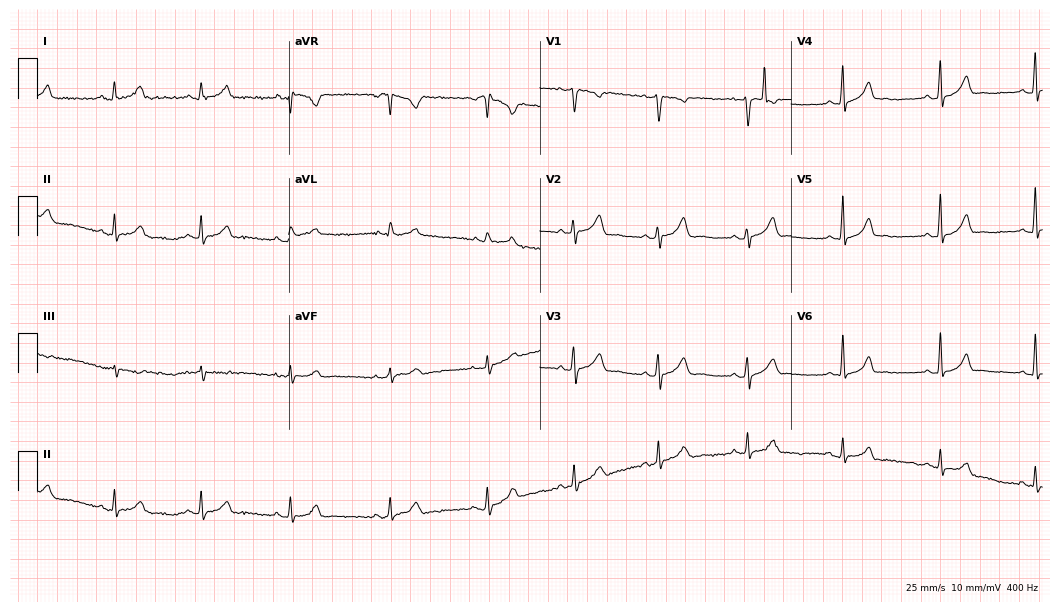
Resting 12-lead electrocardiogram (10.2-second recording at 400 Hz). Patient: a 26-year-old female. Read as a normal ECG.